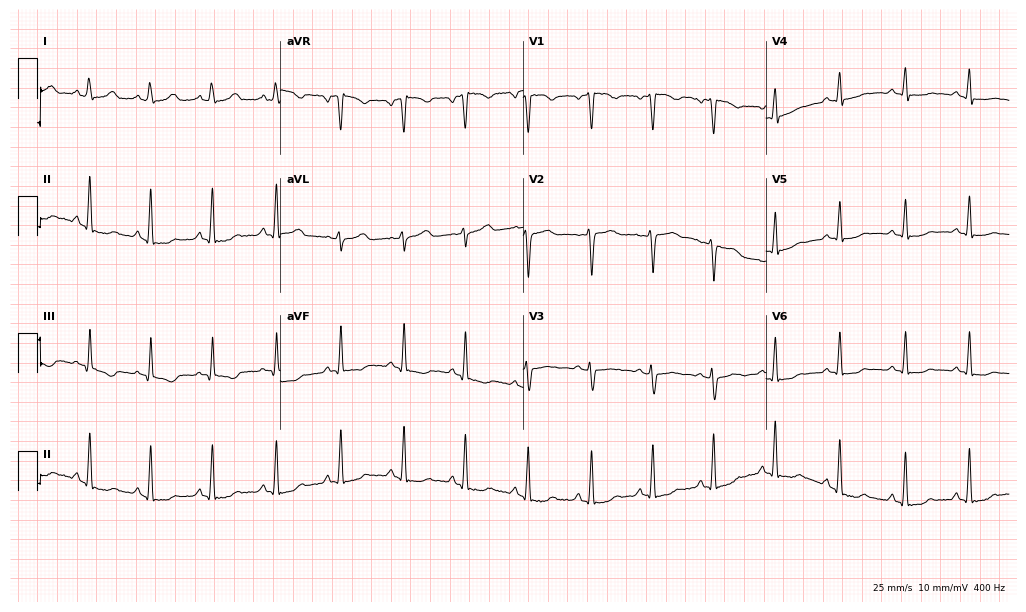
12-lead ECG from a 25-year-old woman. Recorded interpretation: within normal limits.